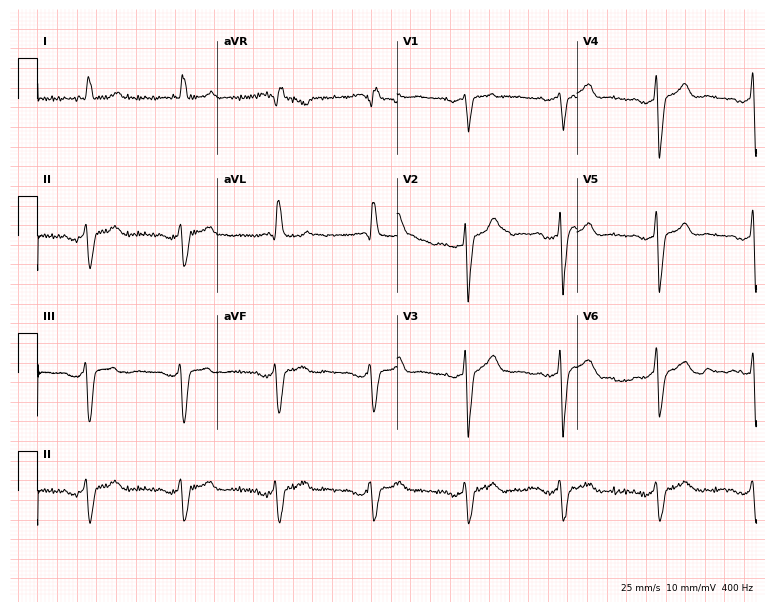
Standard 12-lead ECG recorded from a man, 70 years old (7.3-second recording at 400 Hz). None of these six findings is recorded: first-degree AV block, right bundle branch block, left bundle branch block, sinus bradycardia, atrial fibrillation, sinus tachycardia.